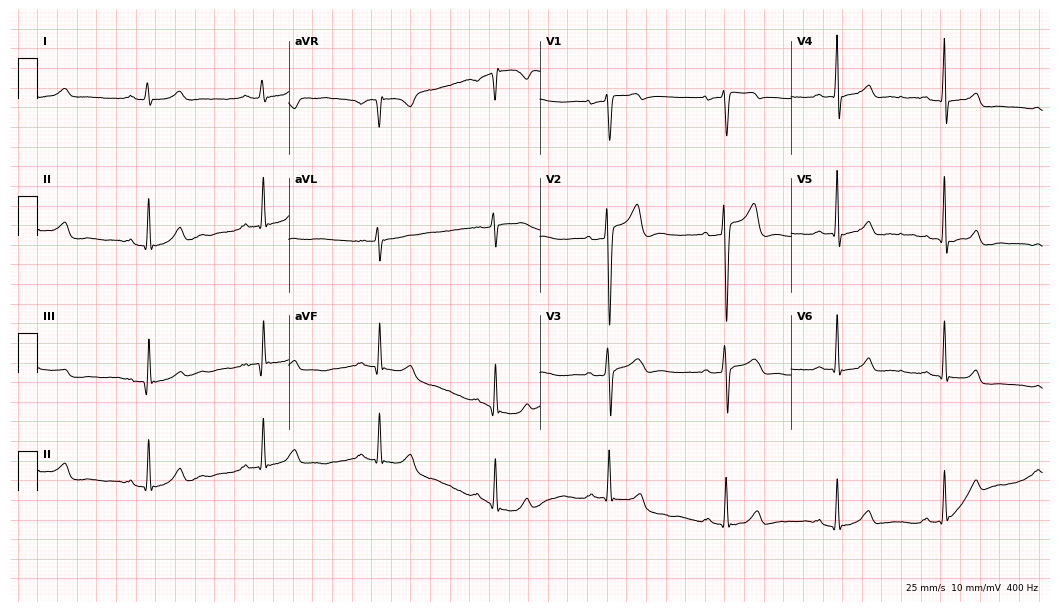
ECG — a male patient, 26 years old. Screened for six findings — first-degree AV block, right bundle branch block, left bundle branch block, sinus bradycardia, atrial fibrillation, sinus tachycardia — none is recorded. Findings outside these six are not listed.